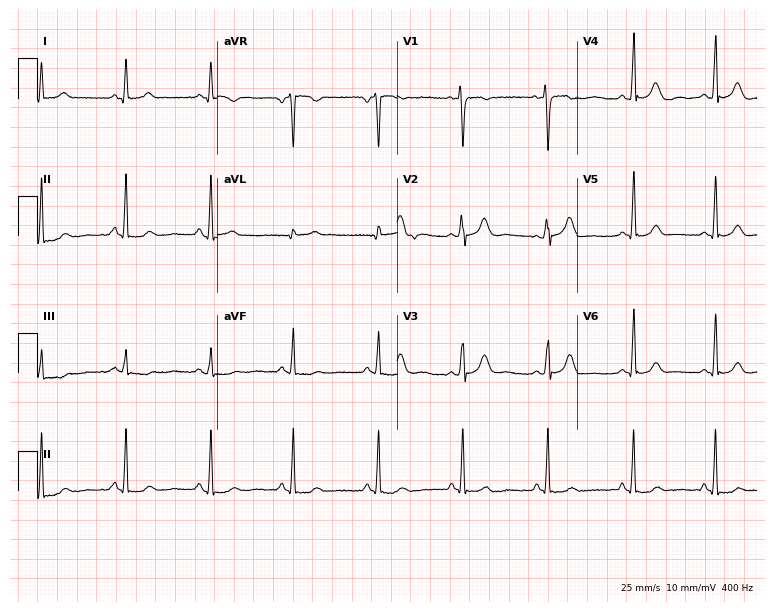
Resting 12-lead electrocardiogram. Patient: a 35-year-old woman. None of these six findings is recorded: first-degree AV block, right bundle branch block (RBBB), left bundle branch block (LBBB), sinus bradycardia, atrial fibrillation (AF), sinus tachycardia.